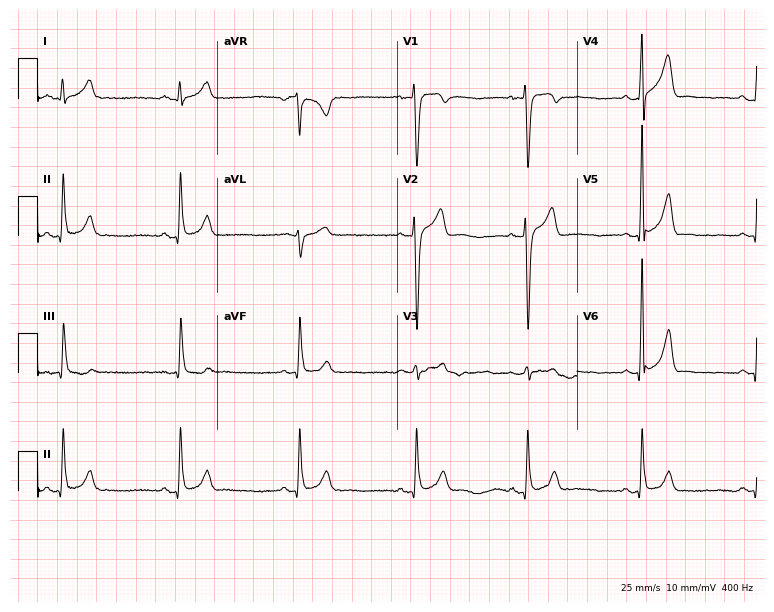
12-lead ECG from a 34-year-old male patient (7.3-second recording at 400 Hz). Recorded interpretation: within normal limits.